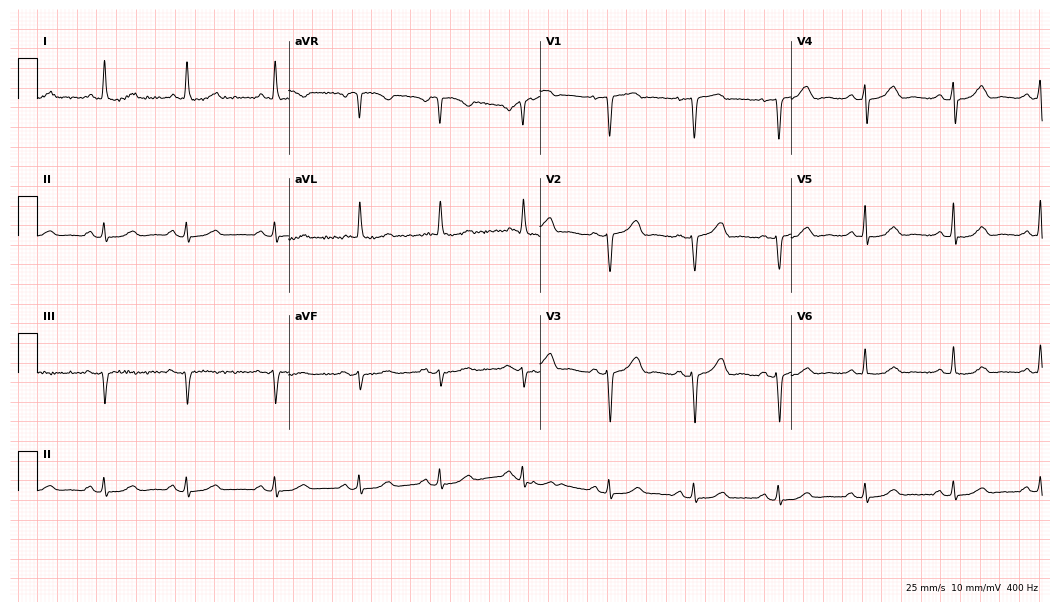
12-lead ECG from a woman, 68 years old (10.2-second recording at 400 Hz). Recorded interpretation: within normal limits.